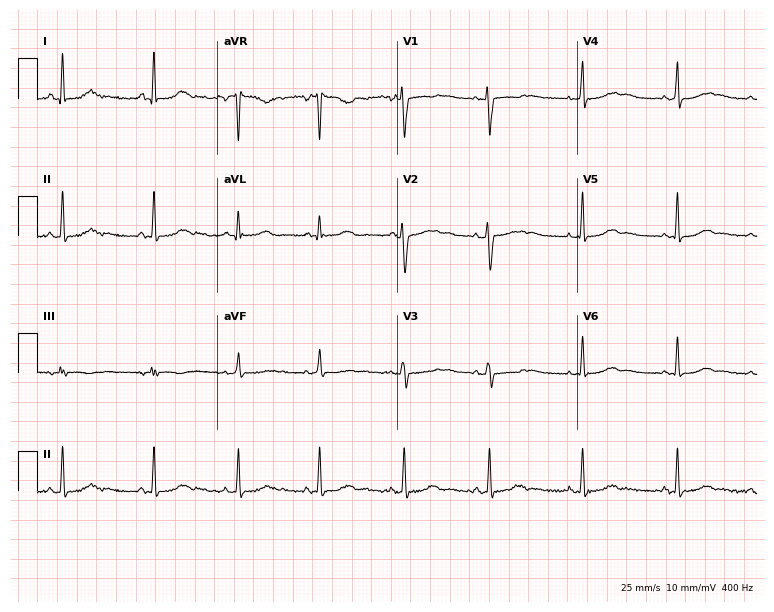
12-lead ECG from a 33-year-old woman. Recorded interpretation: within normal limits.